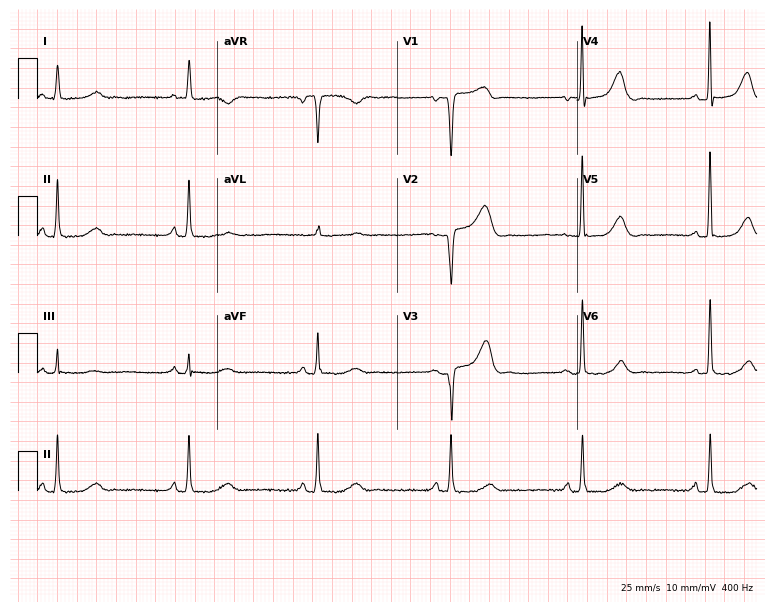
12-lead ECG from a female patient, 85 years old. Shows sinus bradycardia (a sinus rate of 50 beats per minute or less).